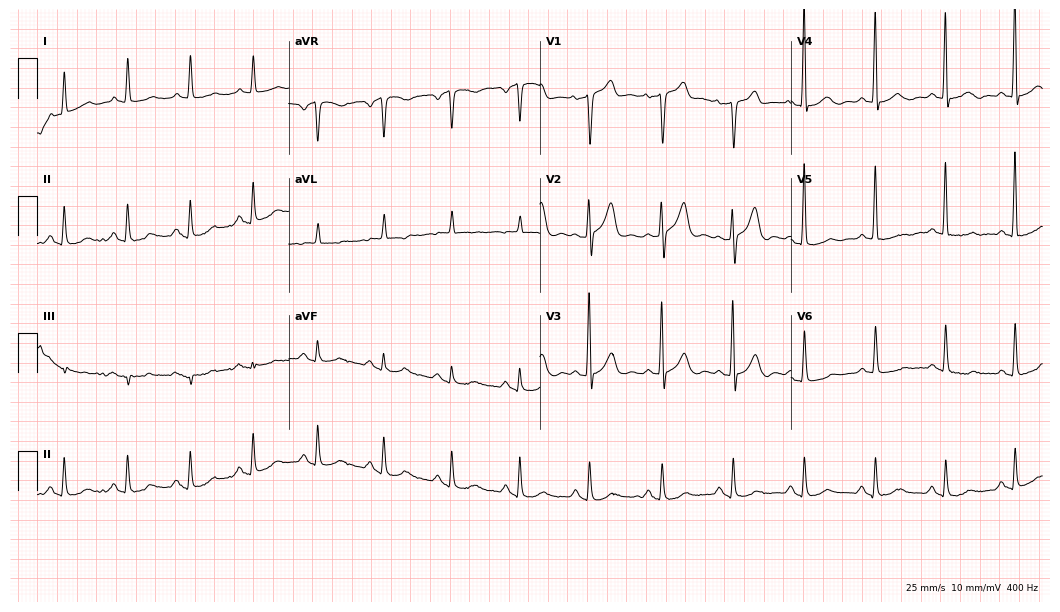
Electrocardiogram (10.2-second recording at 400 Hz), a 75-year-old male. Of the six screened findings (first-degree AV block, right bundle branch block (RBBB), left bundle branch block (LBBB), sinus bradycardia, atrial fibrillation (AF), sinus tachycardia), none is recorded.